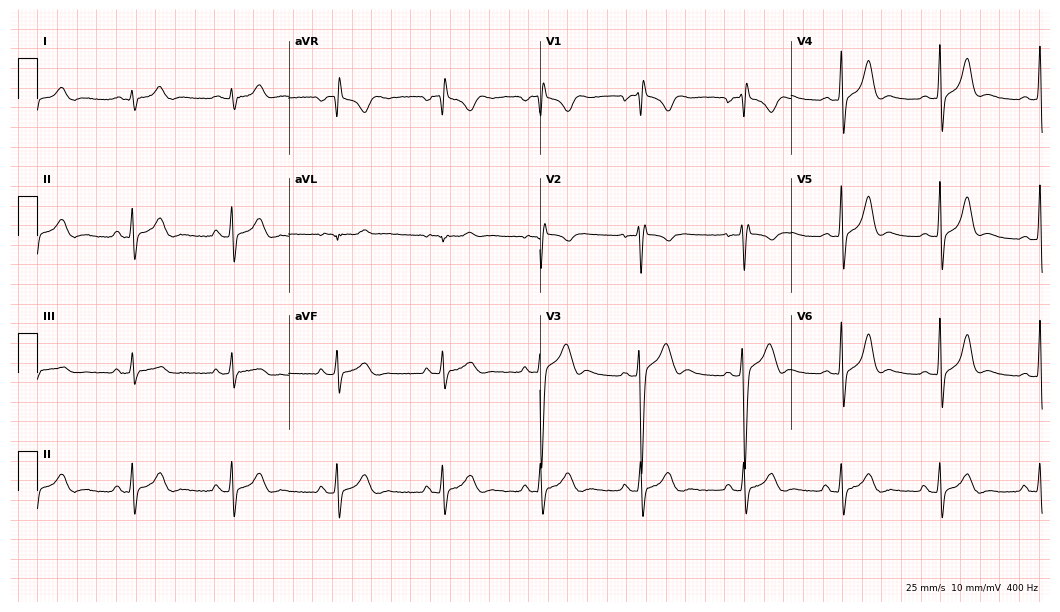
12-lead ECG from a man, 21 years old (10.2-second recording at 400 Hz). Recorded interpretation: within normal limits.